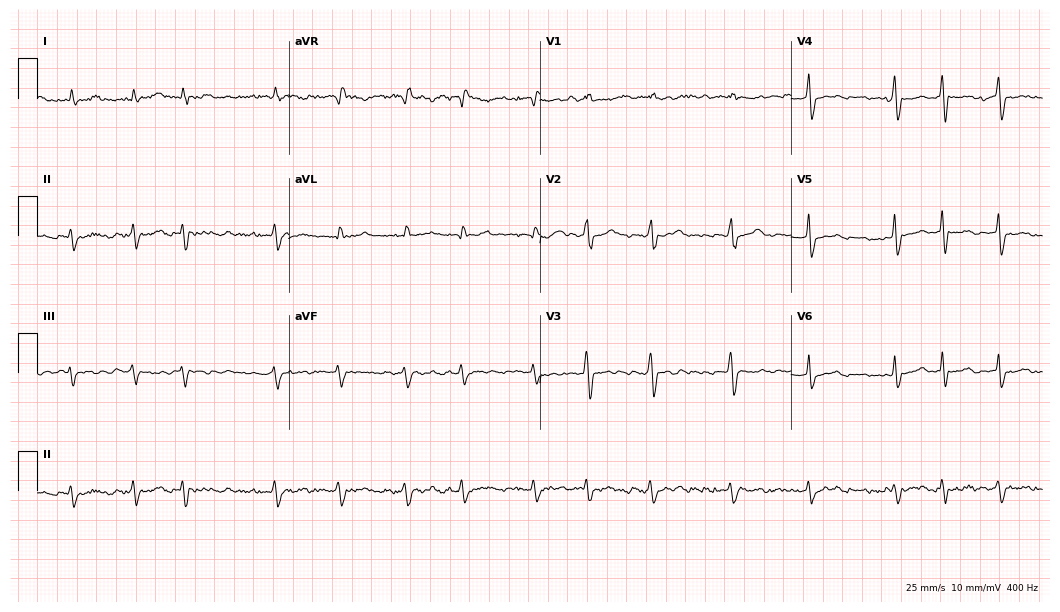
Resting 12-lead electrocardiogram. Patient: a male, 59 years old. The tracing shows atrial fibrillation.